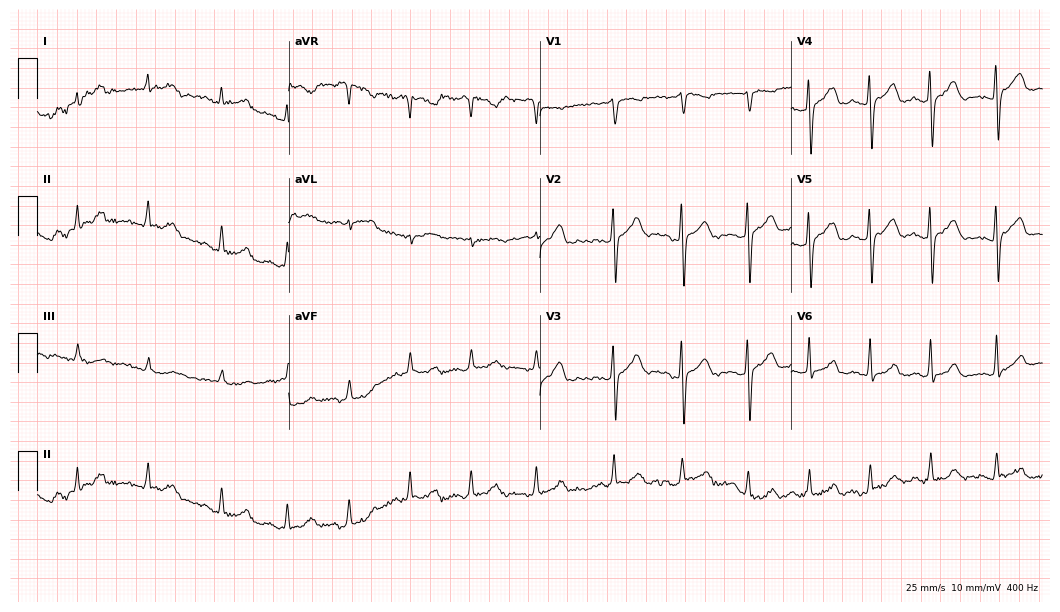
Resting 12-lead electrocardiogram. Patient: a woman, 20 years old. Read as a normal ECG.